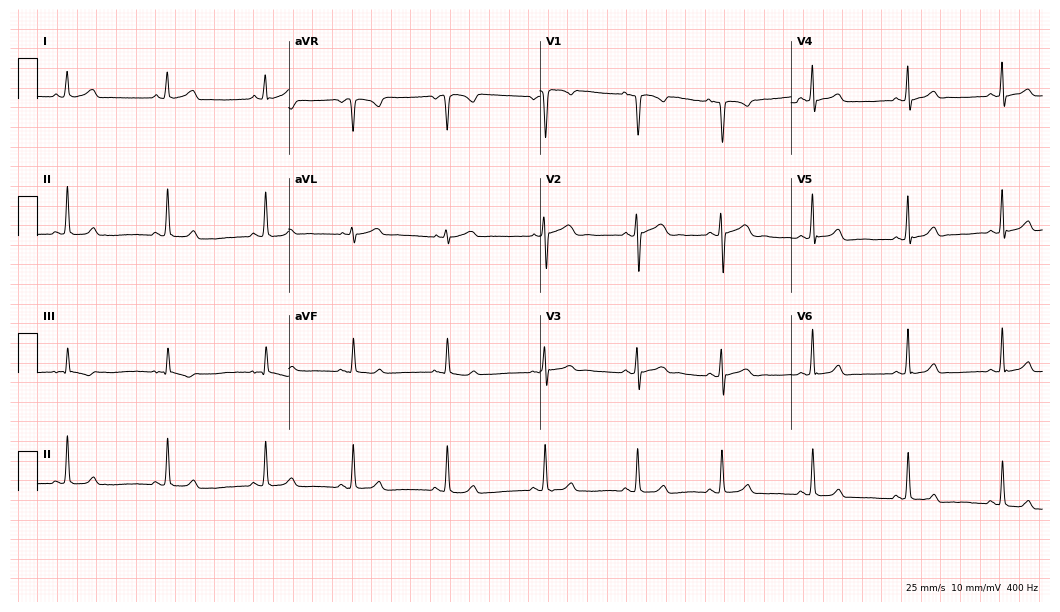
12-lead ECG from a 19-year-old female. Recorded interpretation: within normal limits.